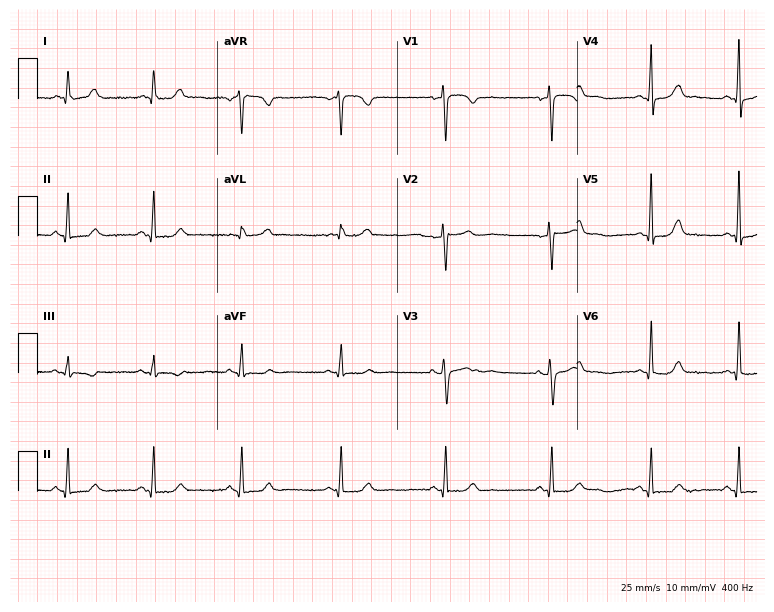
12-lead ECG from a 40-year-old female patient. Recorded interpretation: within normal limits.